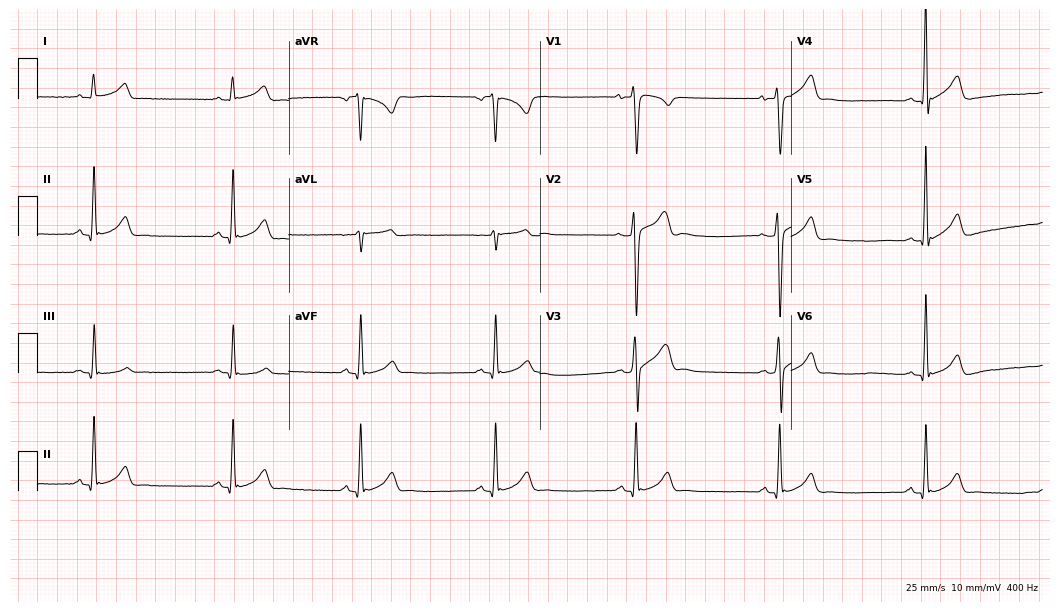
Standard 12-lead ECG recorded from a 24-year-old male patient (10.2-second recording at 400 Hz). None of these six findings is recorded: first-degree AV block, right bundle branch block (RBBB), left bundle branch block (LBBB), sinus bradycardia, atrial fibrillation (AF), sinus tachycardia.